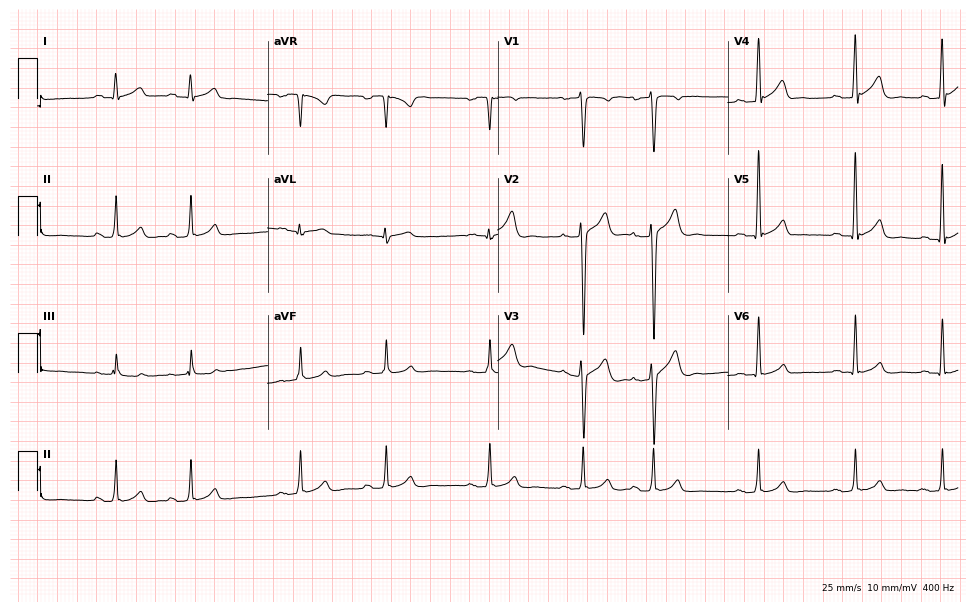
12-lead ECG from a female patient, 28 years old. Screened for six findings — first-degree AV block, right bundle branch block, left bundle branch block, sinus bradycardia, atrial fibrillation, sinus tachycardia — none is recorded. Other findings, if any, are not listed.